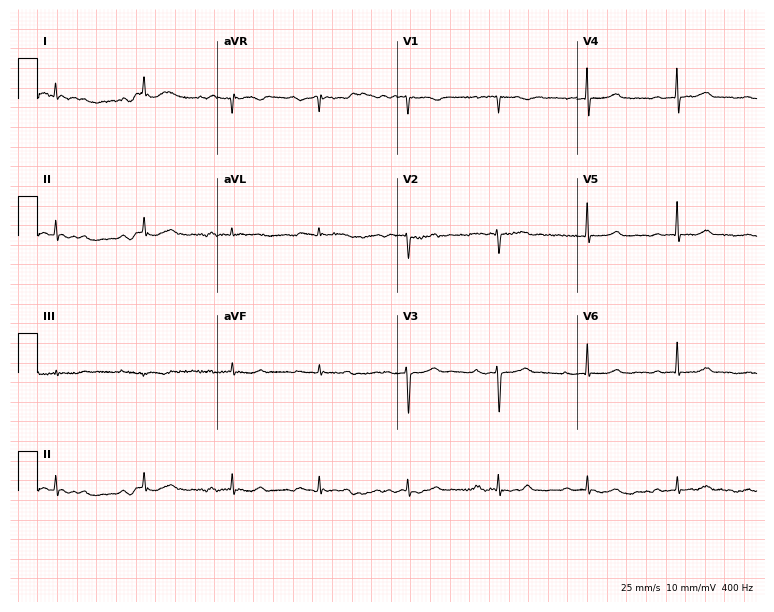
12-lead ECG from a woman, 85 years old (7.3-second recording at 400 Hz). Shows first-degree AV block.